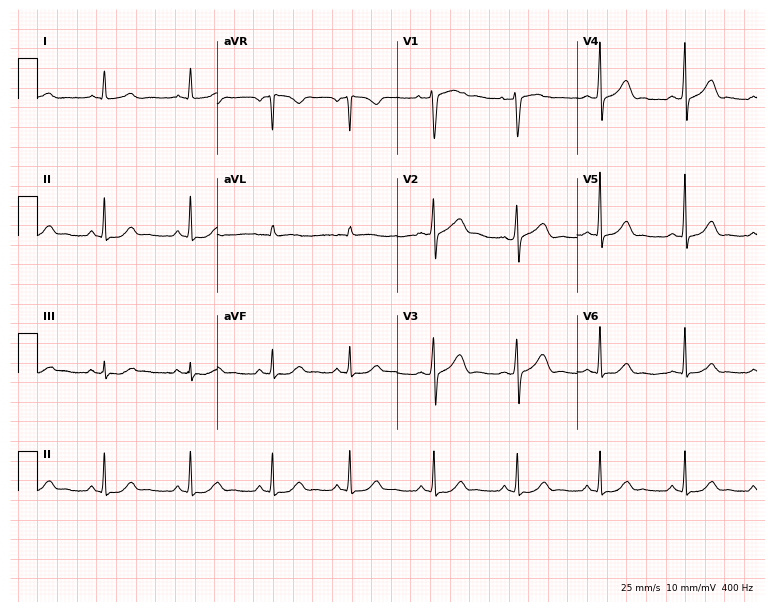
Electrocardiogram (7.3-second recording at 400 Hz), a 27-year-old woman. Of the six screened findings (first-degree AV block, right bundle branch block, left bundle branch block, sinus bradycardia, atrial fibrillation, sinus tachycardia), none is recorded.